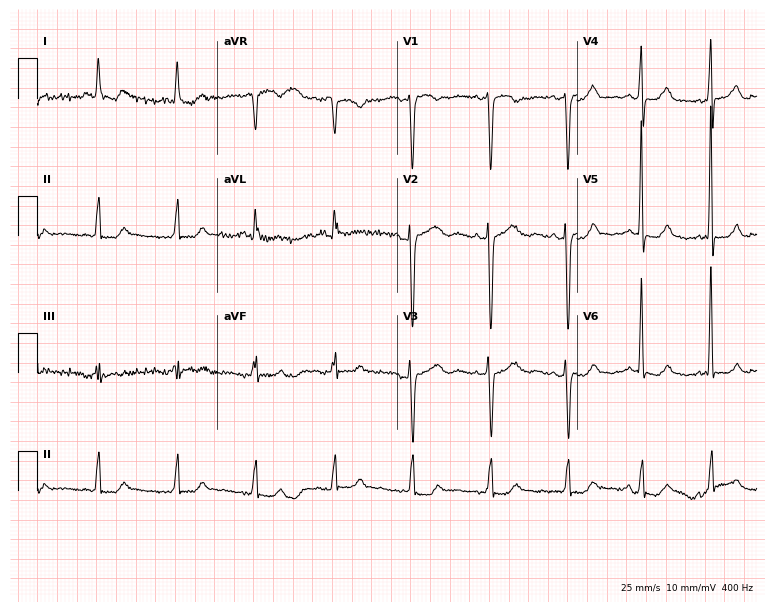
12-lead ECG (7.3-second recording at 400 Hz) from a woman, 66 years old. Screened for six findings — first-degree AV block, right bundle branch block, left bundle branch block, sinus bradycardia, atrial fibrillation, sinus tachycardia — none is recorded.